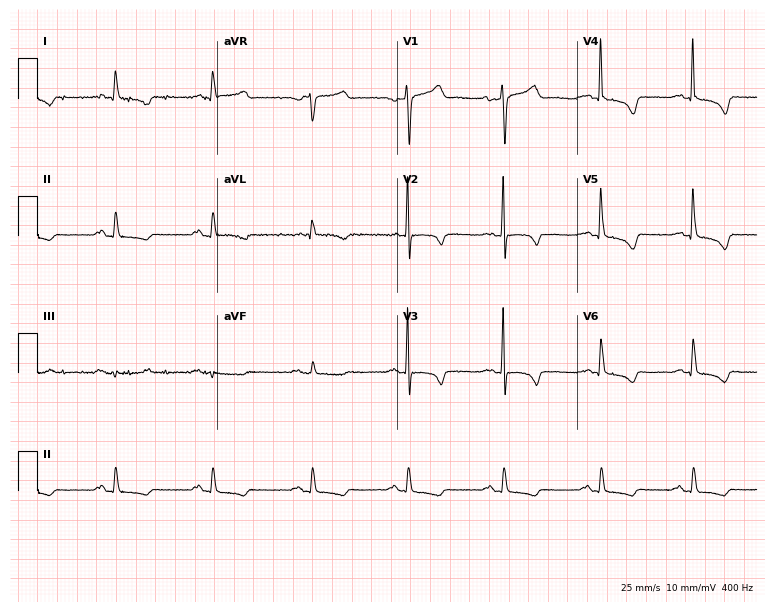
Resting 12-lead electrocardiogram (7.3-second recording at 400 Hz). Patient: an 81-year-old male. None of these six findings is recorded: first-degree AV block, right bundle branch block, left bundle branch block, sinus bradycardia, atrial fibrillation, sinus tachycardia. Findings outside these six are not listed.